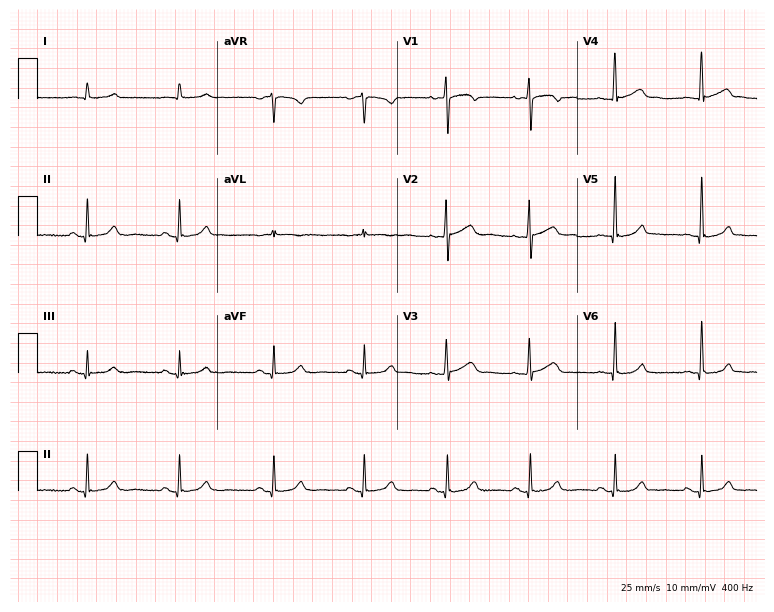
12-lead ECG from a woman, 81 years old. No first-degree AV block, right bundle branch block, left bundle branch block, sinus bradycardia, atrial fibrillation or sinus tachycardia recorded for this tracing.